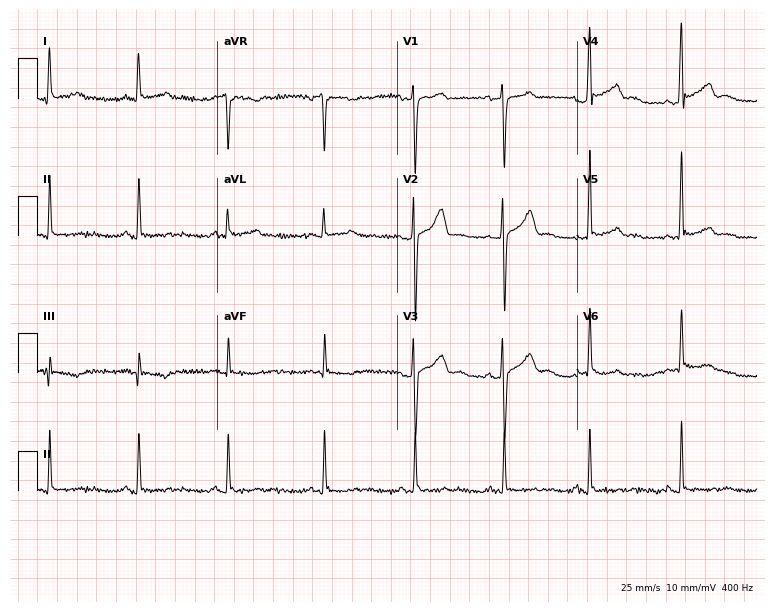
ECG (7.3-second recording at 400 Hz) — a 34-year-old male patient. Screened for six findings — first-degree AV block, right bundle branch block (RBBB), left bundle branch block (LBBB), sinus bradycardia, atrial fibrillation (AF), sinus tachycardia — none is recorded.